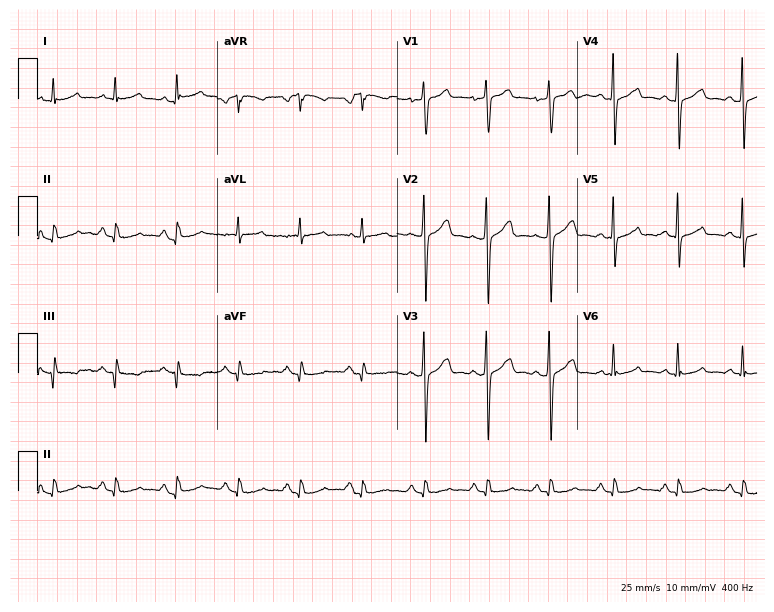
Standard 12-lead ECG recorded from a male, 63 years old. None of these six findings is recorded: first-degree AV block, right bundle branch block (RBBB), left bundle branch block (LBBB), sinus bradycardia, atrial fibrillation (AF), sinus tachycardia. Only these six findings were labelled.